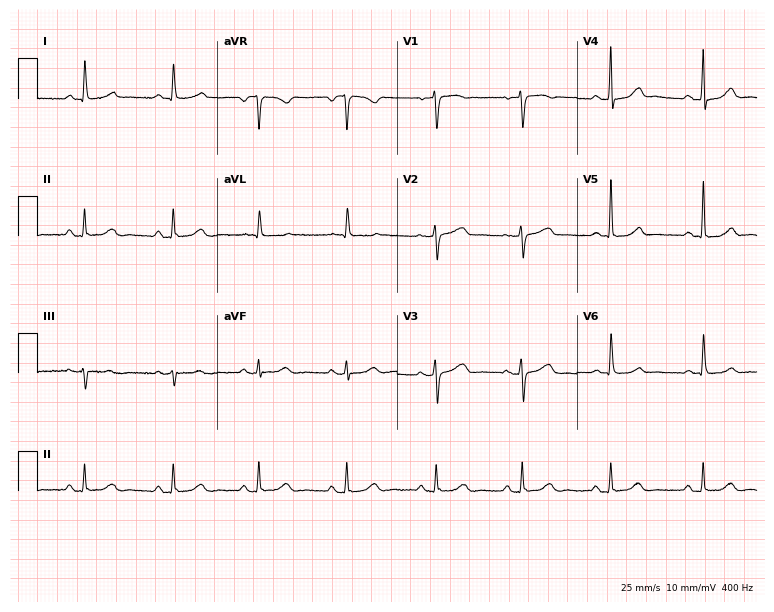
ECG (7.3-second recording at 400 Hz) — a woman, 69 years old. Labelled as a normal ECG.